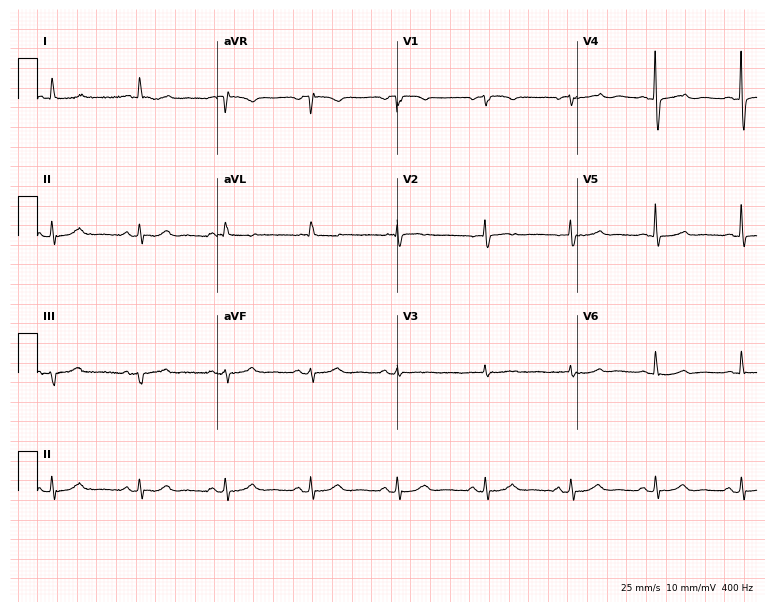
Standard 12-lead ECG recorded from a female, 76 years old. None of these six findings is recorded: first-degree AV block, right bundle branch block, left bundle branch block, sinus bradycardia, atrial fibrillation, sinus tachycardia.